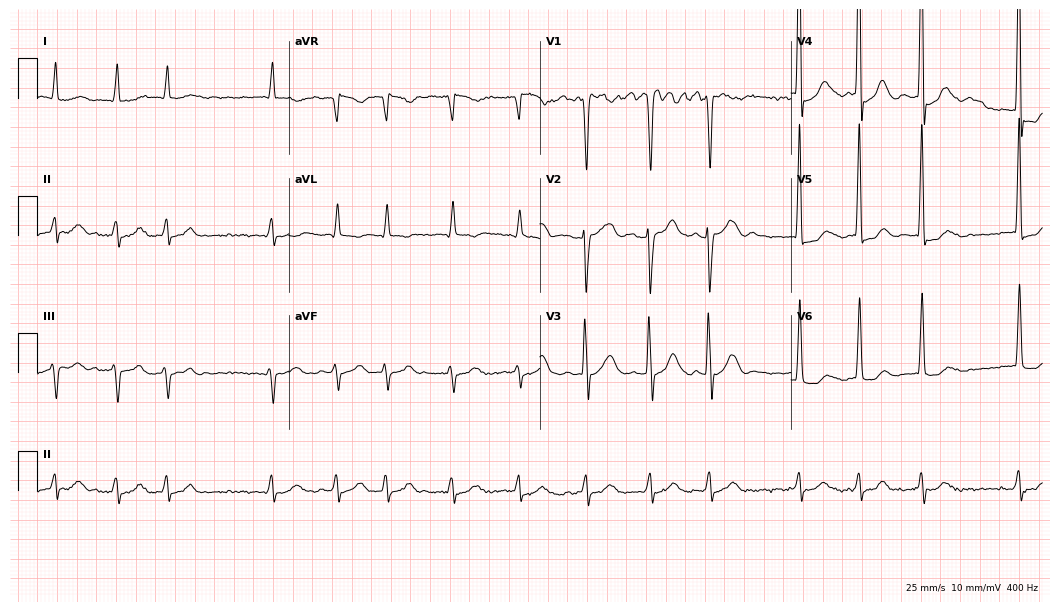
Resting 12-lead electrocardiogram. Patient: a male, 75 years old. The tracing shows atrial fibrillation (AF).